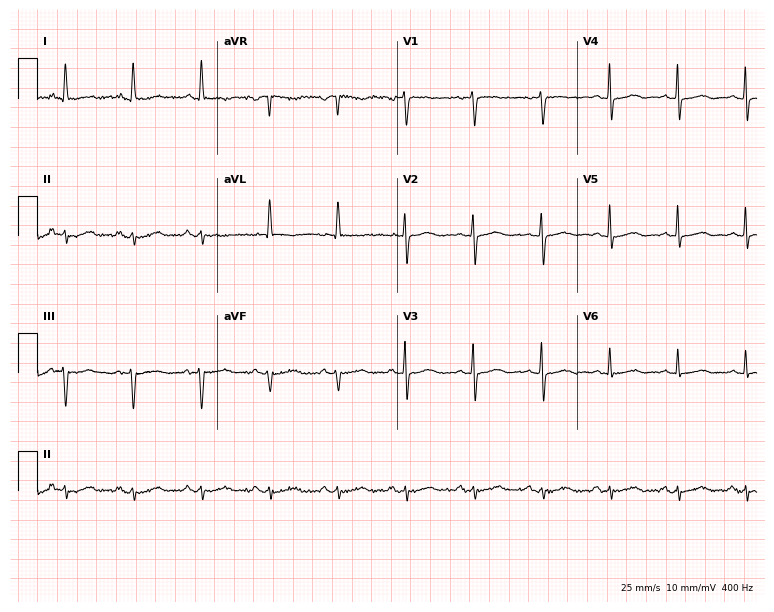
ECG (7.3-second recording at 400 Hz) — a 75-year-old woman. Screened for six findings — first-degree AV block, right bundle branch block, left bundle branch block, sinus bradycardia, atrial fibrillation, sinus tachycardia — none is recorded.